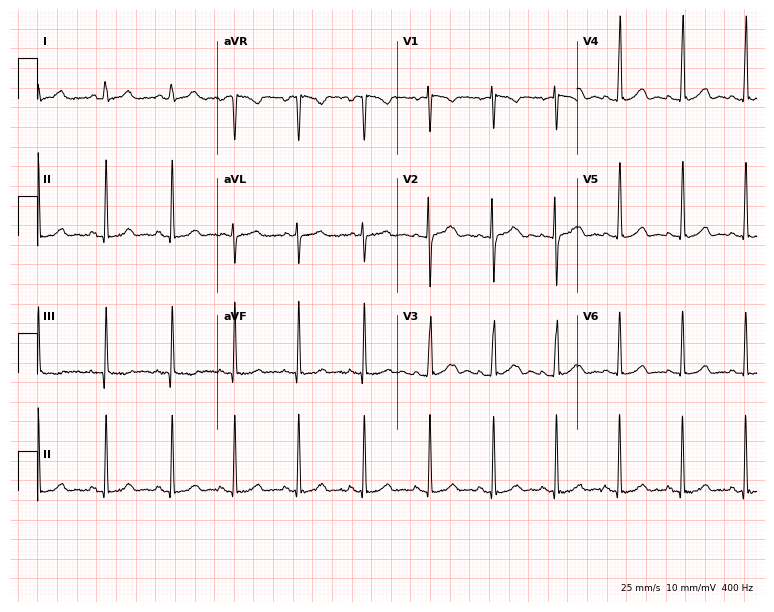
ECG — a 17-year-old female patient. Labelled as a normal ECG.